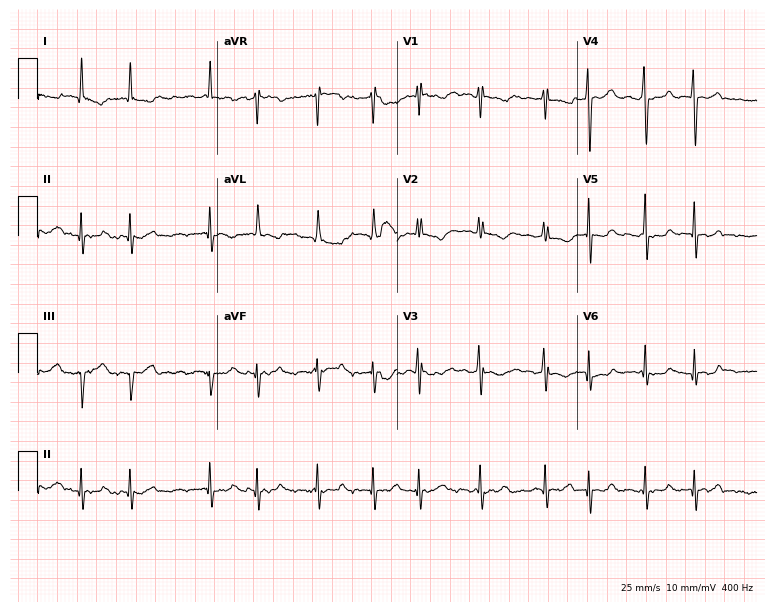
12-lead ECG from a 47-year-old woman. Shows atrial fibrillation (AF).